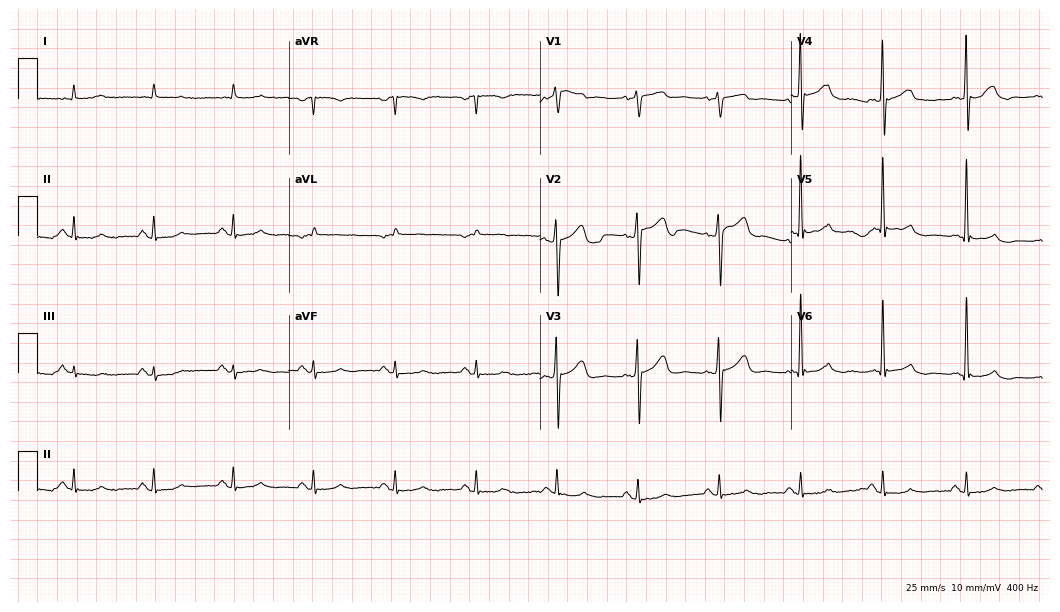
12-lead ECG from a male, 87 years old. Screened for six findings — first-degree AV block, right bundle branch block, left bundle branch block, sinus bradycardia, atrial fibrillation, sinus tachycardia — none is recorded.